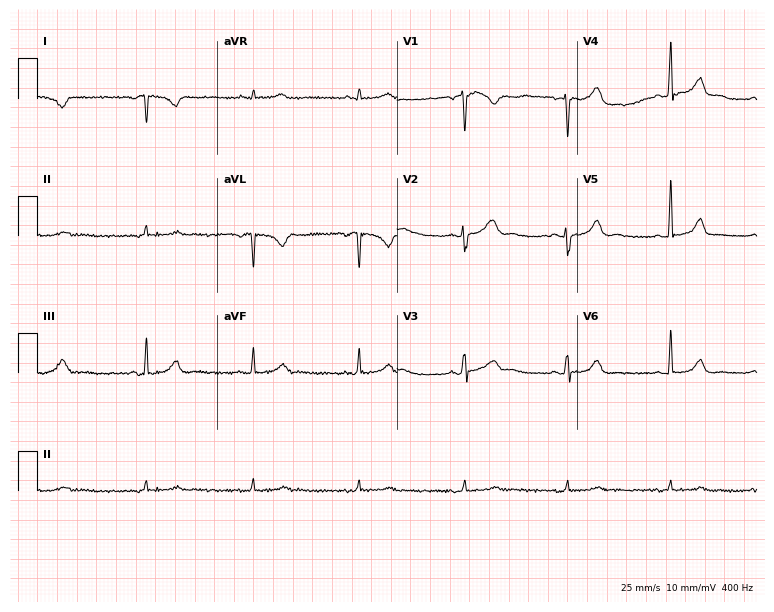
12-lead ECG from a female, 41 years old. Recorded interpretation: within normal limits.